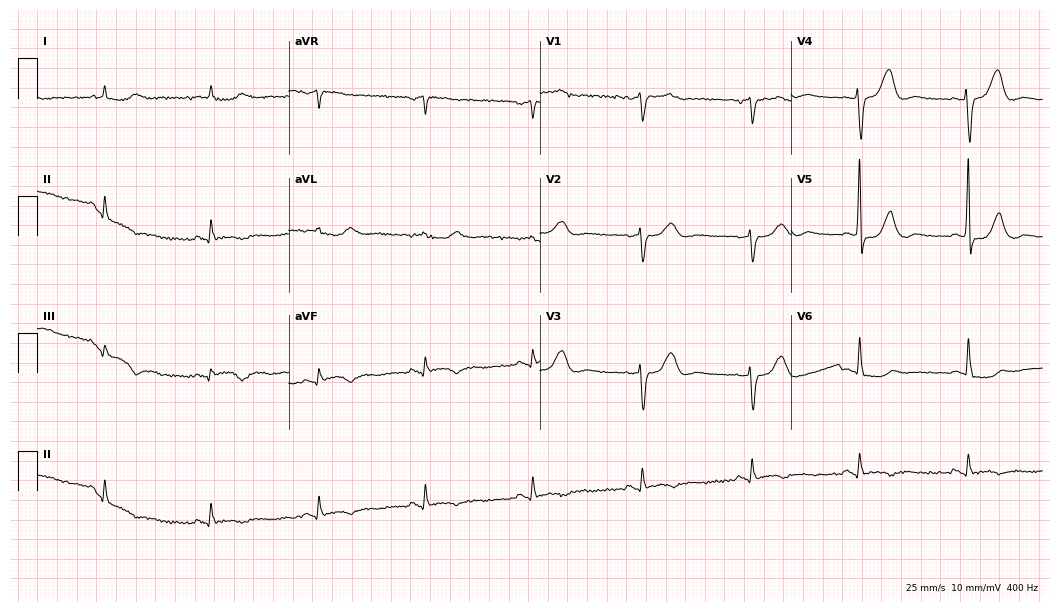
Standard 12-lead ECG recorded from a 68-year-old male. None of these six findings is recorded: first-degree AV block, right bundle branch block, left bundle branch block, sinus bradycardia, atrial fibrillation, sinus tachycardia. Other findings, if any, are not listed.